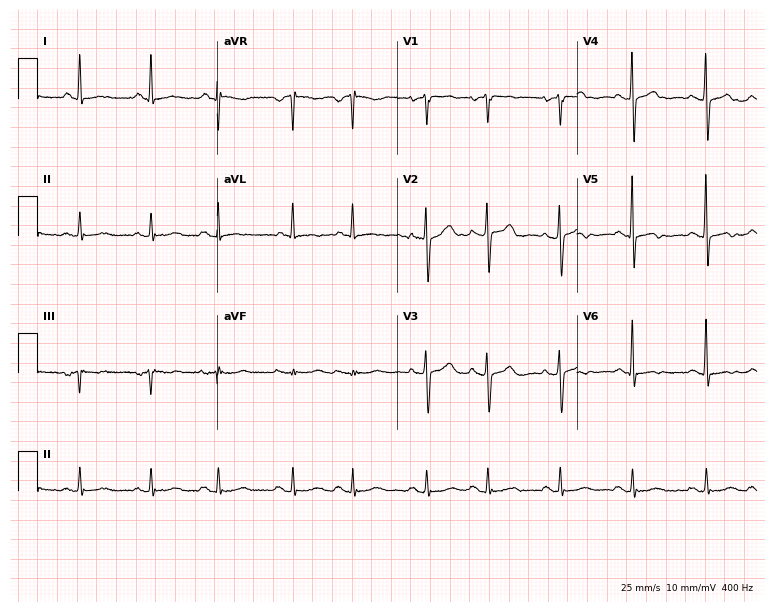
Standard 12-lead ECG recorded from a 78-year-old female patient. Read as a normal ECG.